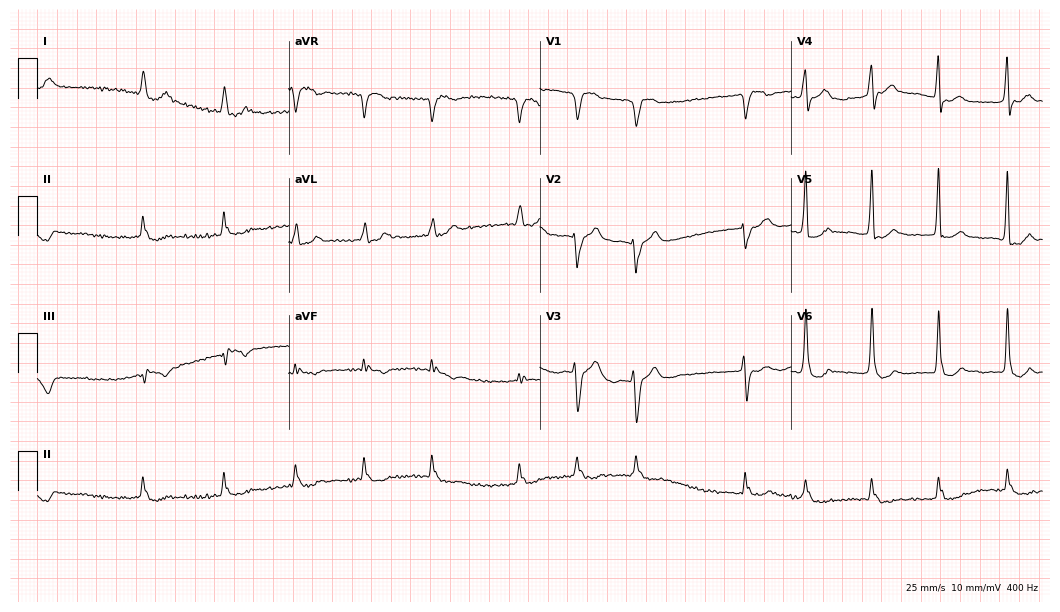
Electrocardiogram, a 71-year-old man. Interpretation includes atrial fibrillation (AF).